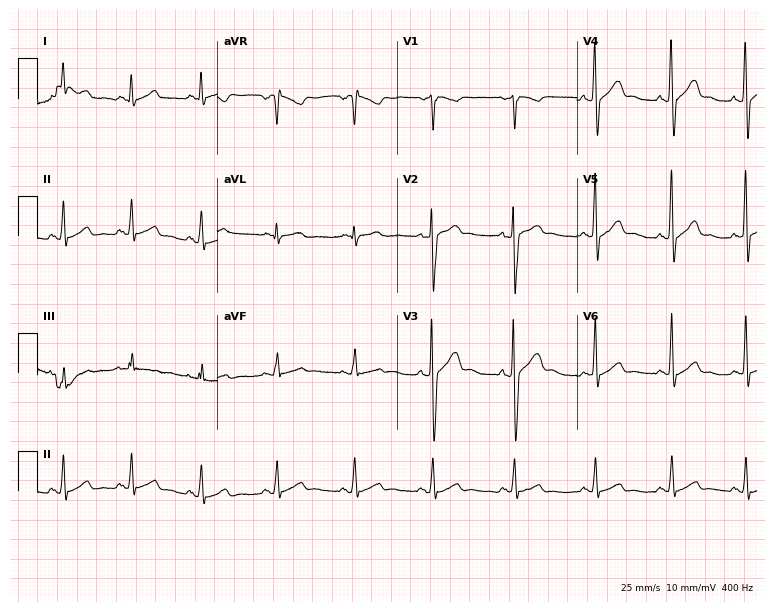
12-lead ECG from a man, 45 years old. Recorded interpretation: within normal limits.